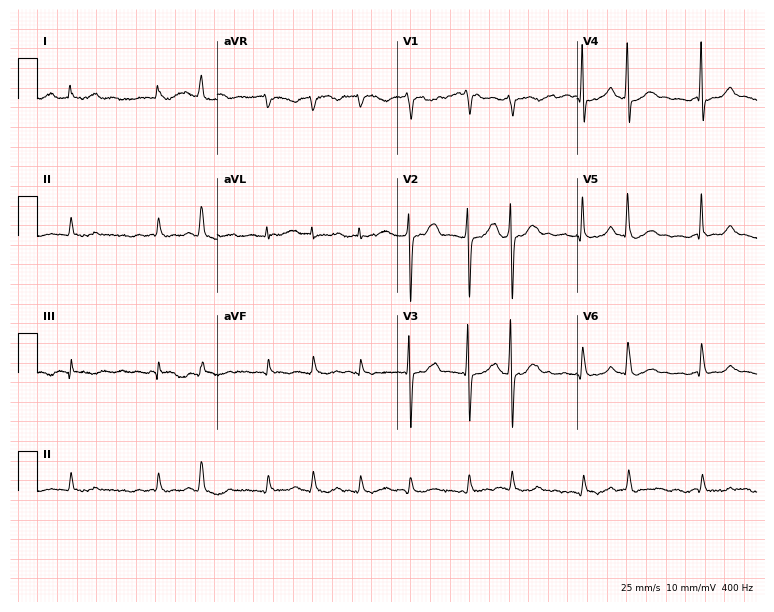
Standard 12-lead ECG recorded from a man, 77 years old (7.3-second recording at 400 Hz). The tracing shows atrial fibrillation.